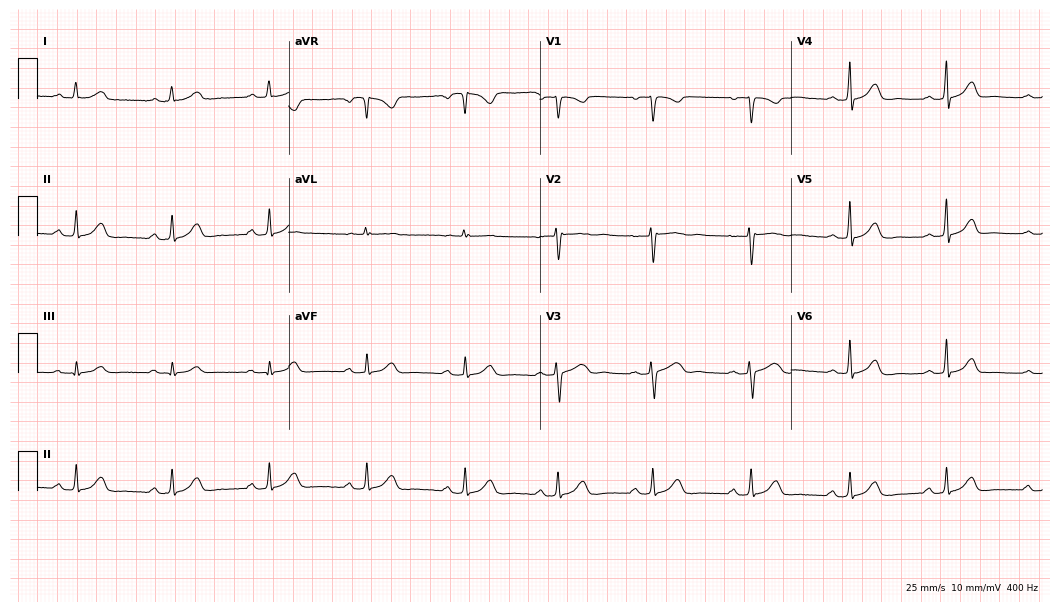
ECG (10.2-second recording at 400 Hz) — a female, 39 years old. Labelled as a normal ECG.